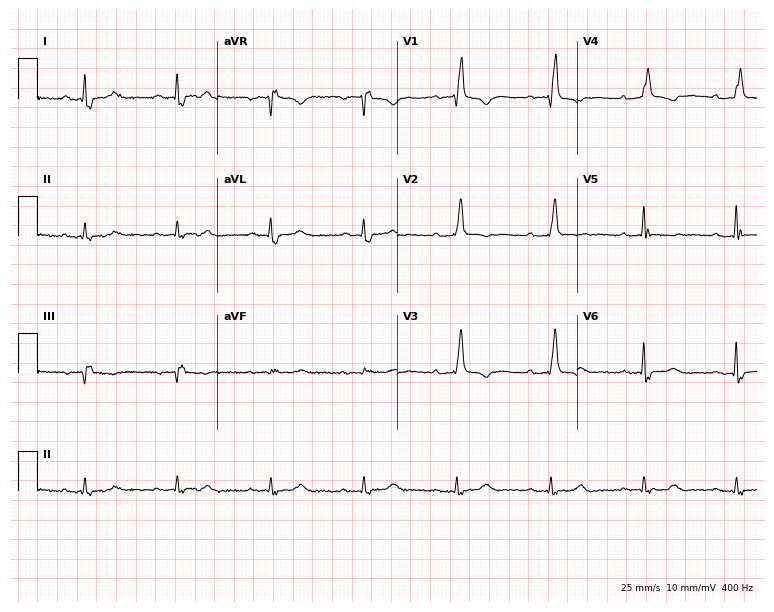
12-lead ECG from a 76-year-old male patient (7.3-second recording at 400 Hz). Shows right bundle branch block.